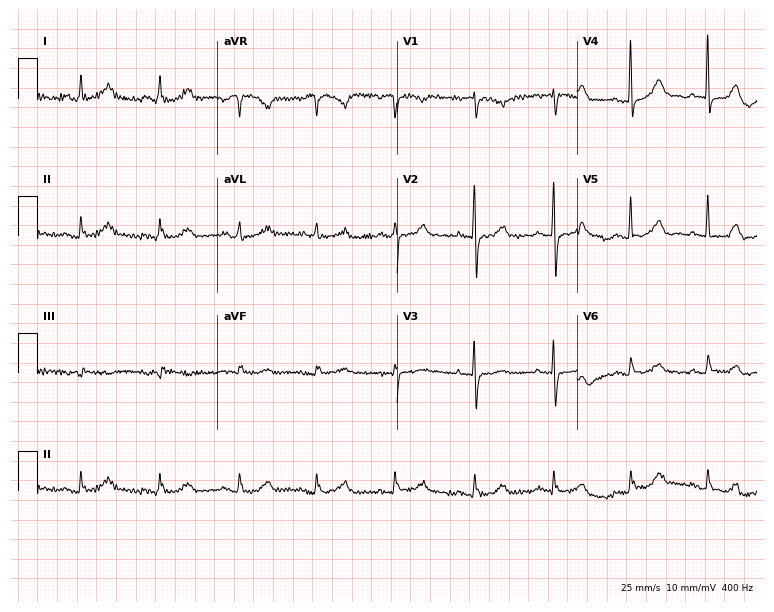
Standard 12-lead ECG recorded from an 83-year-old woman (7.3-second recording at 400 Hz). None of these six findings is recorded: first-degree AV block, right bundle branch block, left bundle branch block, sinus bradycardia, atrial fibrillation, sinus tachycardia. Only these six findings were labelled.